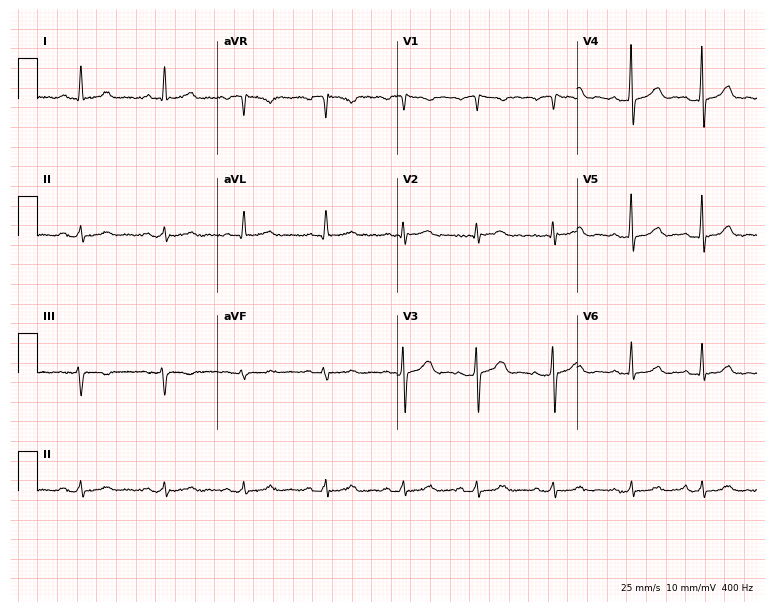
Resting 12-lead electrocardiogram. Patient: a 41-year-old female. Read as a normal ECG.